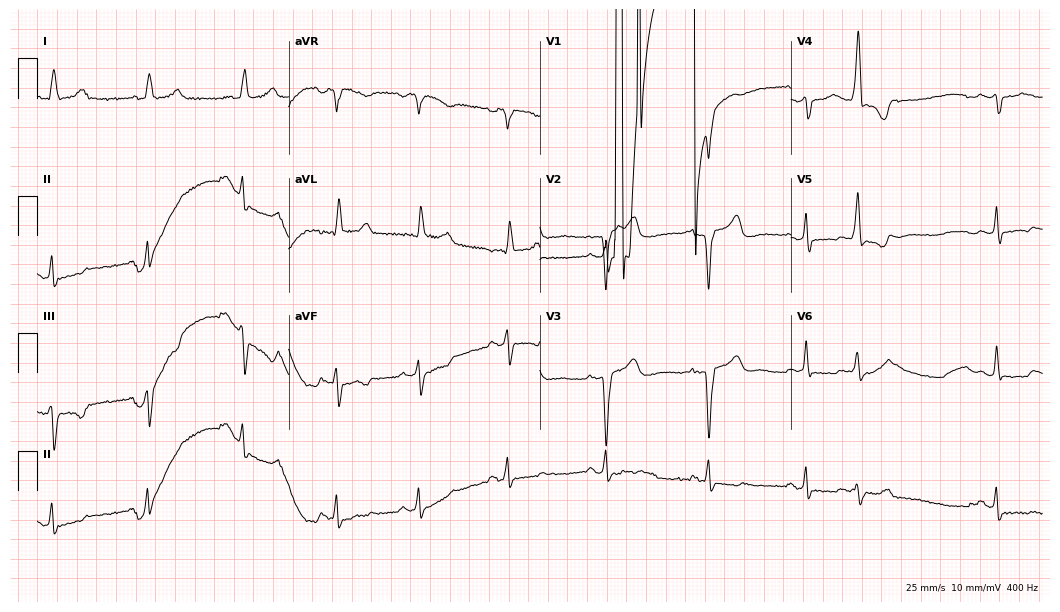
Standard 12-lead ECG recorded from a woman, 74 years old. None of these six findings is recorded: first-degree AV block, right bundle branch block, left bundle branch block, sinus bradycardia, atrial fibrillation, sinus tachycardia. Other findings, if any, are not listed.